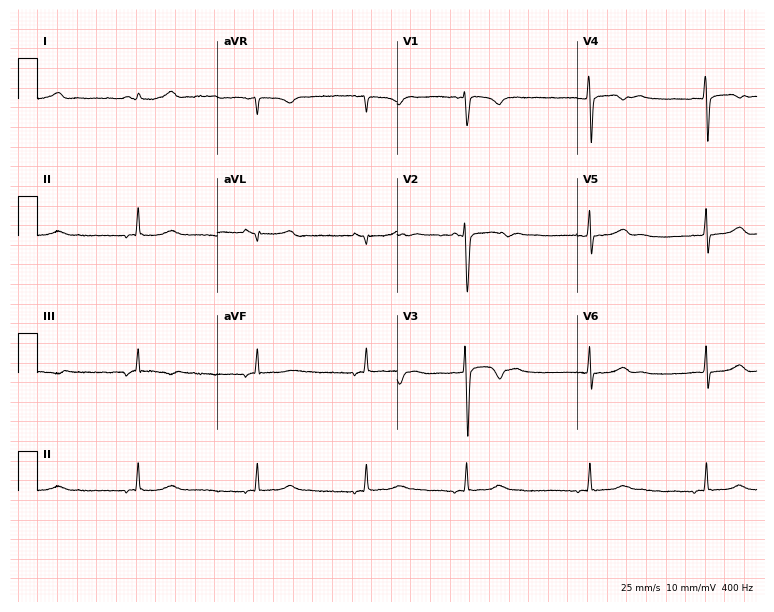
Standard 12-lead ECG recorded from a female patient, 21 years old. Read as a normal ECG.